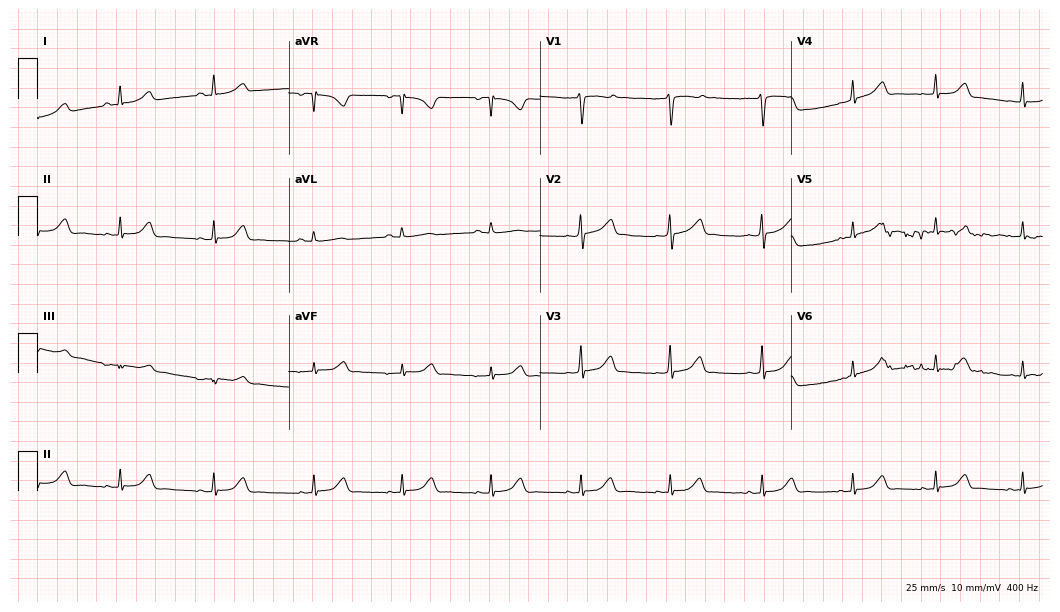
Standard 12-lead ECG recorded from a female patient, 29 years old (10.2-second recording at 400 Hz). Read as a normal ECG.